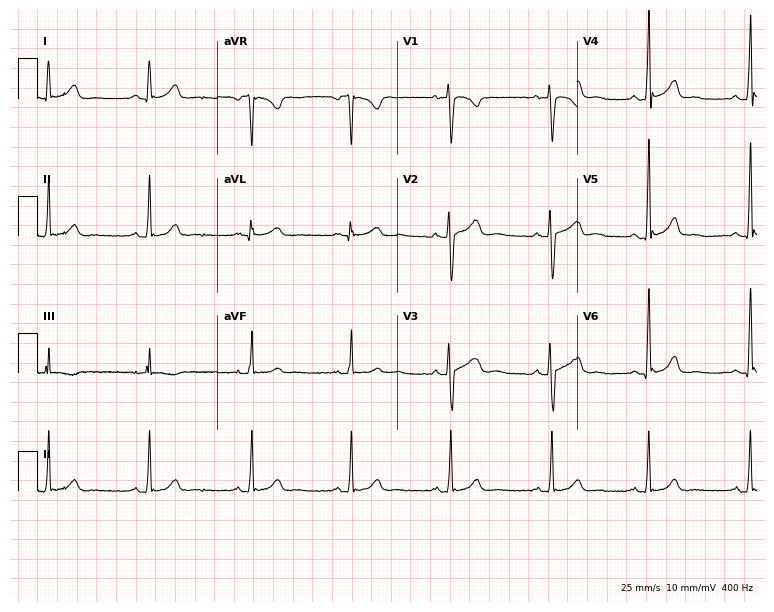
Electrocardiogram, a 29-year-old female patient. Overall reading on record: normal ECG.